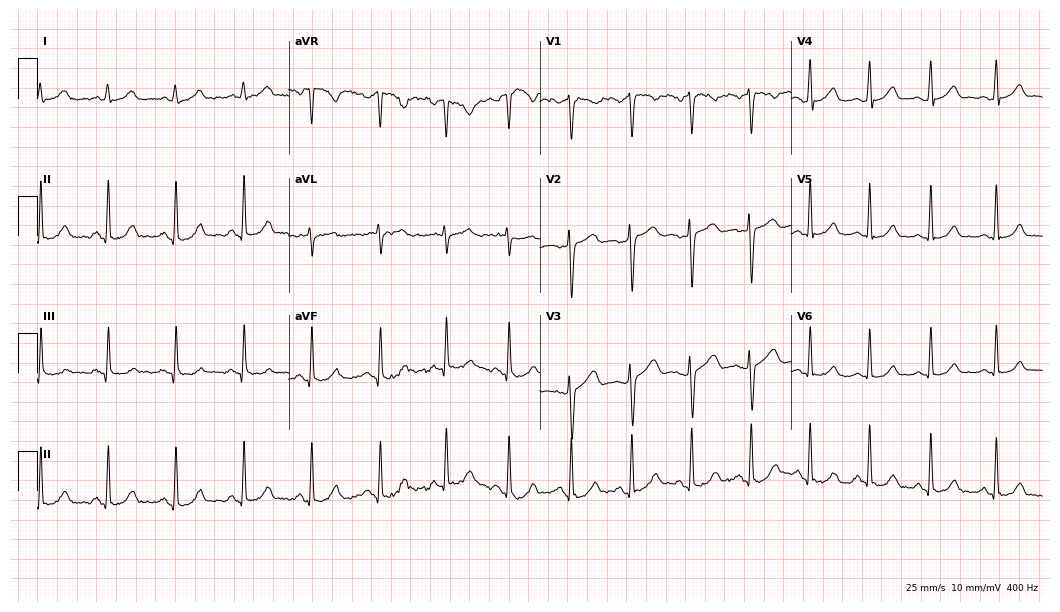
Electrocardiogram, a 36-year-old female. Overall reading on record: normal ECG.